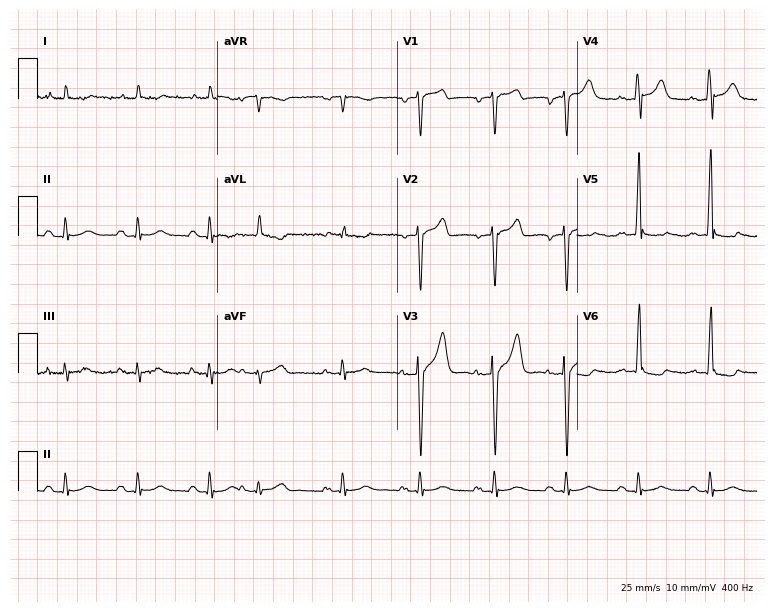
12-lead ECG from a 65-year-old man (7.3-second recording at 400 Hz). No first-degree AV block, right bundle branch block, left bundle branch block, sinus bradycardia, atrial fibrillation or sinus tachycardia recorded for this tracing. Findings outside these six are not listed.